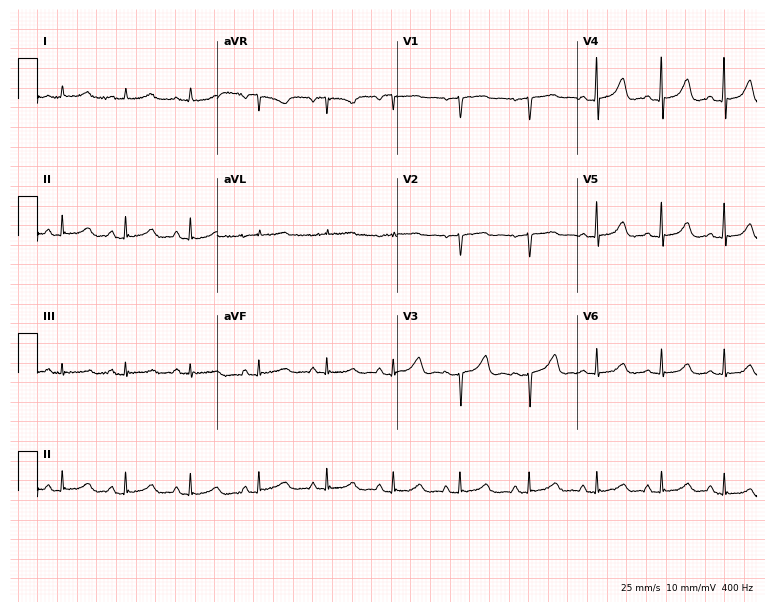
Electrocardiogram, a male, 48 years old. Overall reading on record: normal ECG.